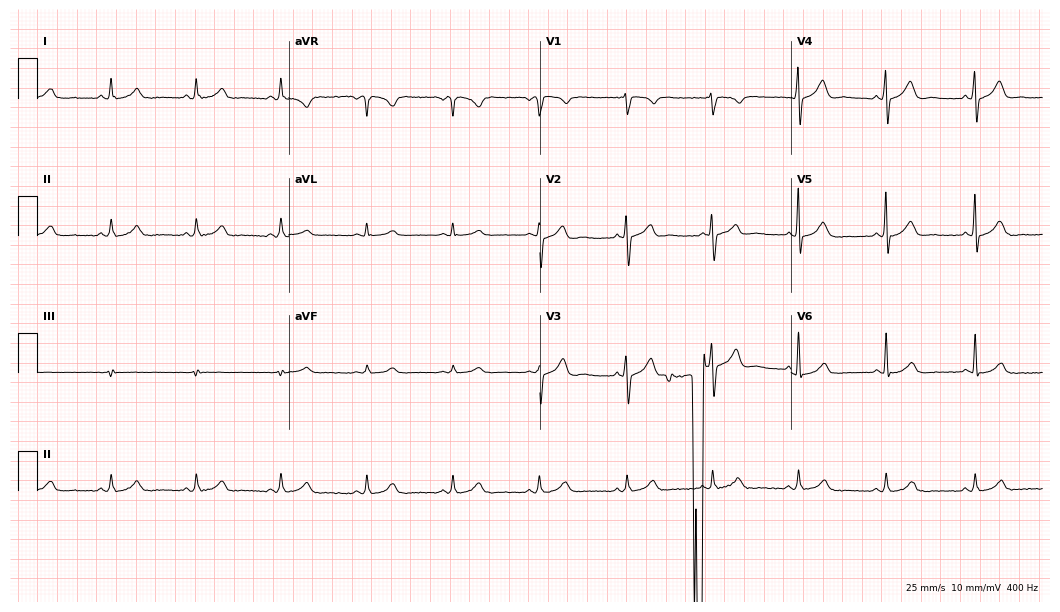
12-lead ECG (10.2-second recording at 400 Hz) from a male patient, 39 years old. Screened for six findings — first-degree AV block, right bundle branch block, left bundle branch block, sinus bradycardia, atrial fibrillation, sinus tachycardia — none is recorded. Findings outside these six are not listed.